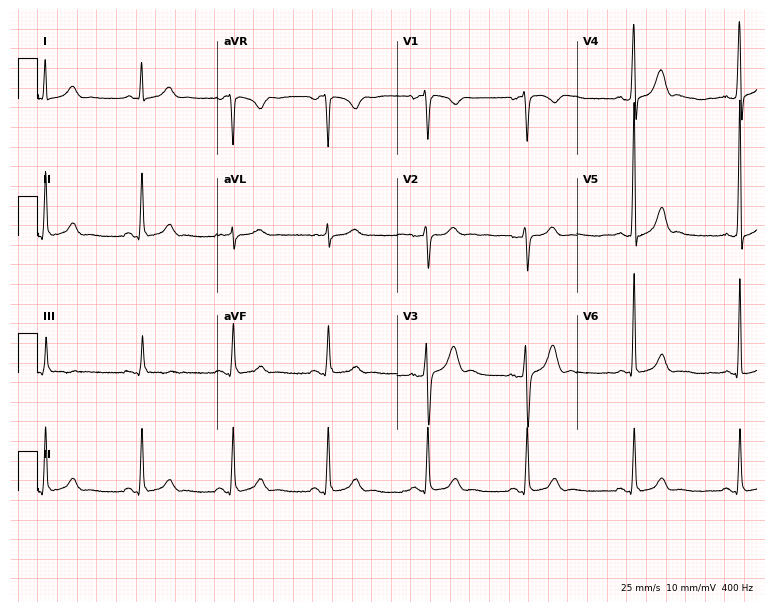
Resting 12-lead electrocardiogram. Patient: a male, 33 years old. None of these six findings is recorded: first-degree AV block, right bundle branch block, left bundle branch block, sinus bradycardia, atrial fibrillation, sinus tachycardia.